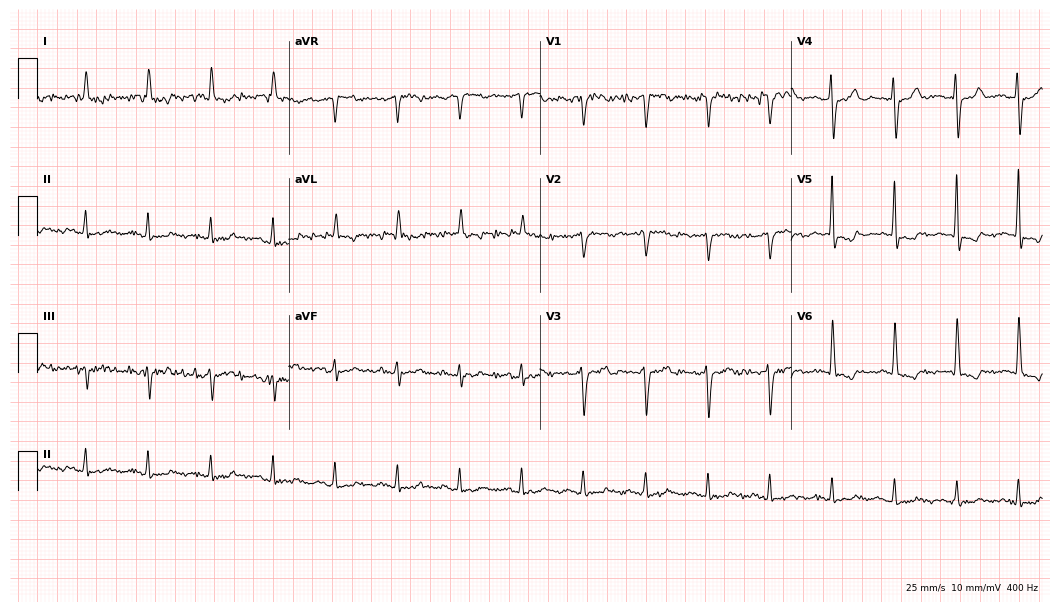
ECG (10.2-second recording at 400 Hz) — a male, 75 years old. Screened for six findings — first-degree AV block, right bundle branch block (RBBB), left bundle branch block (LBBB), sinus bradycardia, atrial fibrillation (AF), sinus tachycardia — none is recorded. Findings outside these six are not listed.